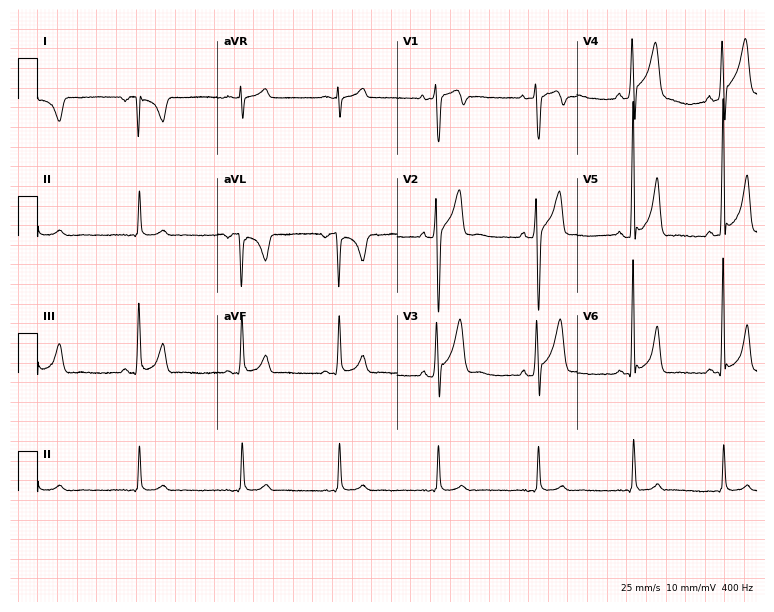
12-lead ECG from a 24-year-old man. No first-degree AV block, right bundle branch block, left bundle branch block, sinus bradycardia, atrial fibrillation or sinus tachycardia recorded for this tracing.